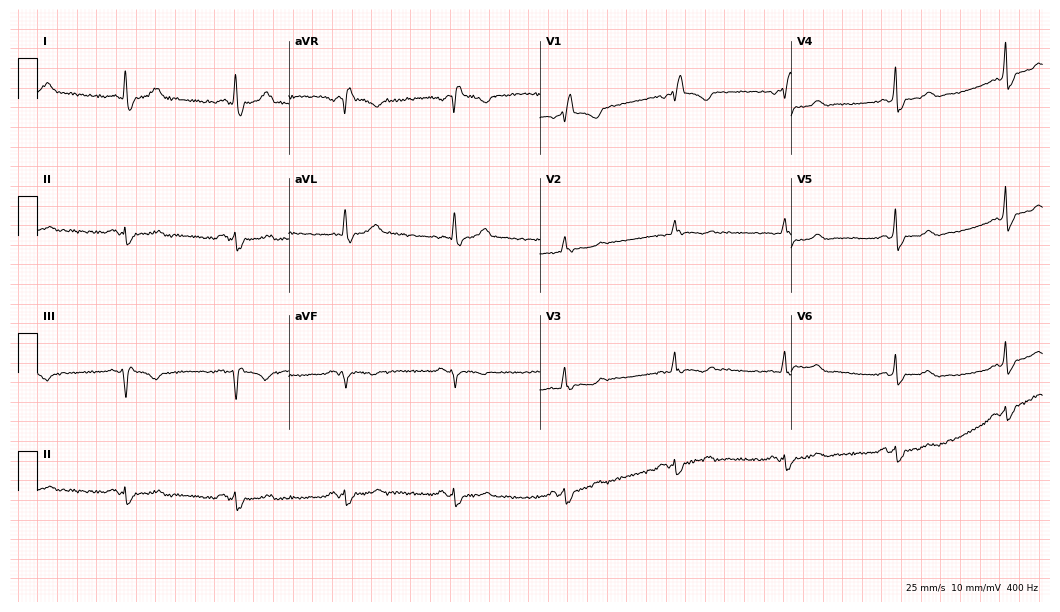
12-lead ECG (10.2-second recording at 400 Hz) from a 71-year-old female patient. Findings include right bundle branch block.